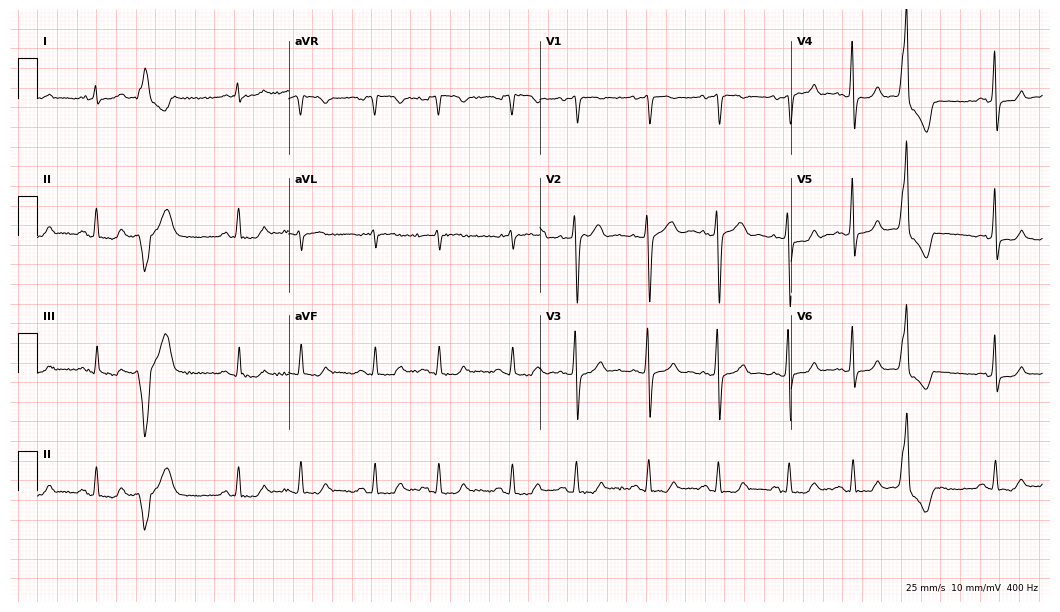
Electrocardiogram (10.2-second recording at 400 Hz), a man, 78 years old. Of the six screened findings (first-degree AV block, right bundle branch block (RBBB), left bundle branch block (LBBB), sinus bradycardia, atrial fibrillation (AF), sinus tachycardia), none is recorded.